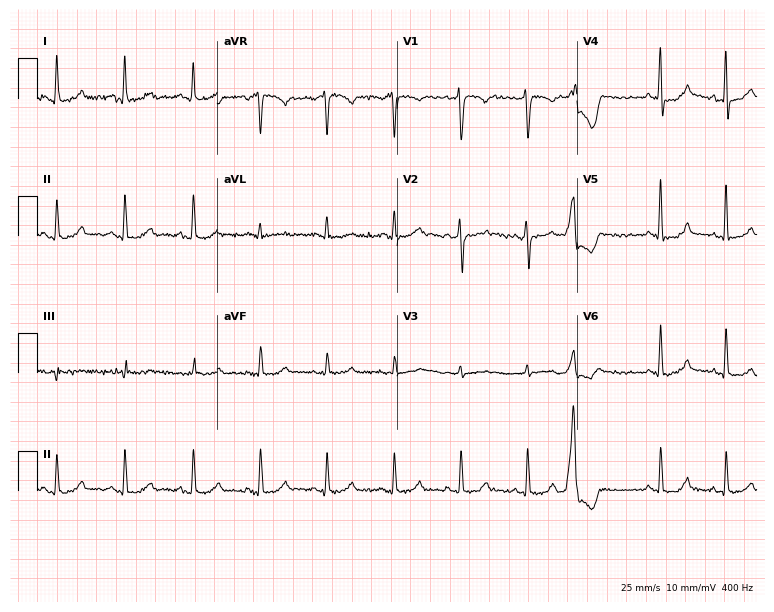
12-lead ECG (7.3-second recording at 400 Hz) from a woman, 57 years old. Screened for six findings — first-degree AV block, right bundle branch block, left bundle branch block, sinus bradycardia, atrial fibrillation, sinus tachycardia — none is recorded.